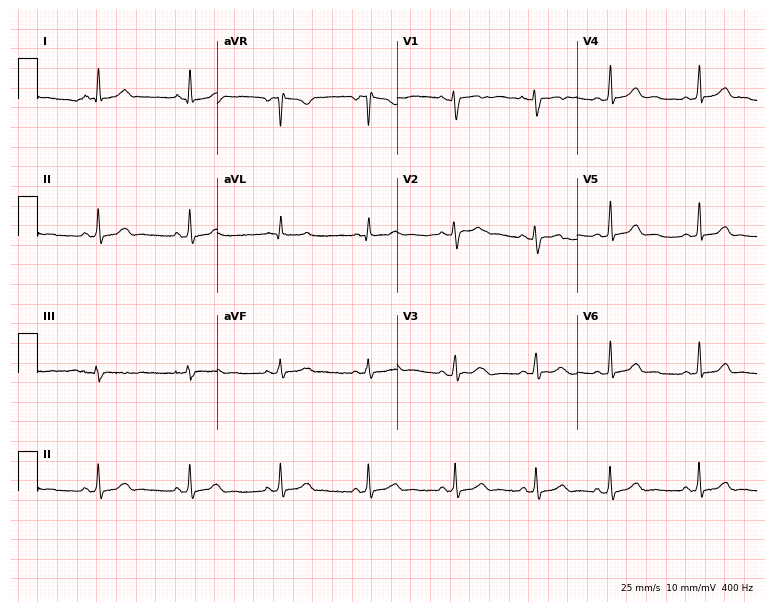
Standard 12-lead ECG recorded from a female, 26 years old. Read as a normal ECG.